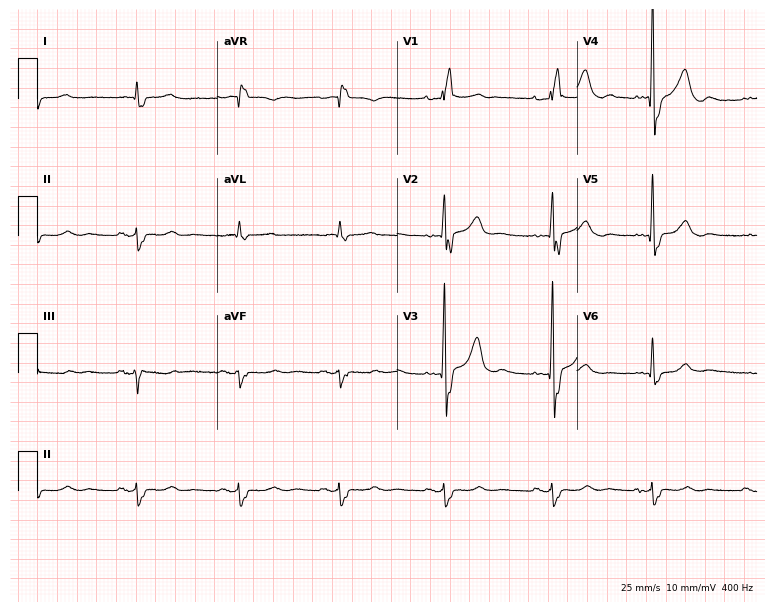
Standard 12-lead ECG recorded from a female, 69 years old. The tracing shows right bundle branch block.